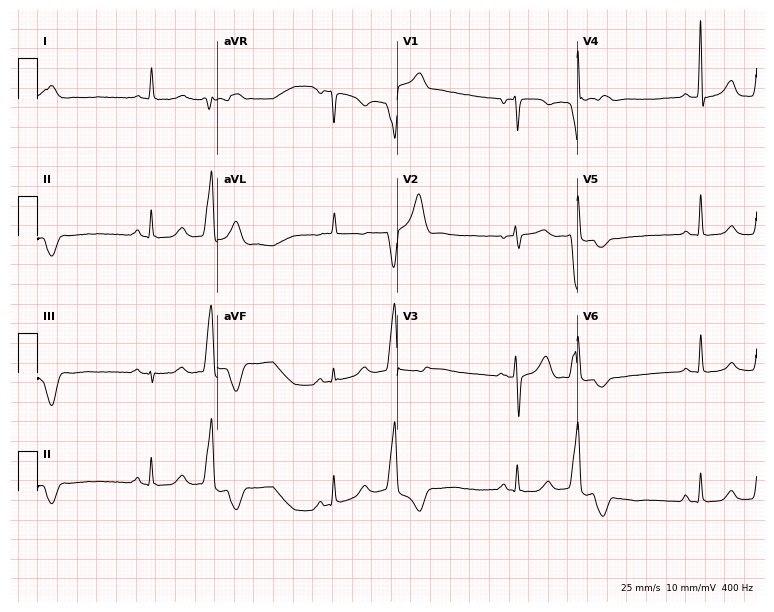
ECG — a 70-year-old male patient. Screened for six findings — first-degree AV block, right bundle branch block, left bundle branch block, sinus bradycardia, atrial fibrillation, sinus tachycardia — none is recorded.